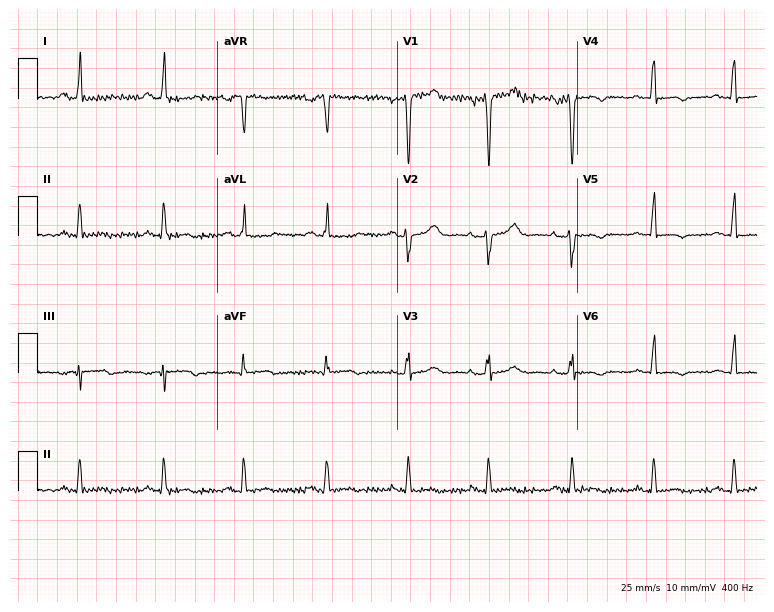
Electrocardiogram, a 25-year-old female. Of the six screened findings (first-degree AV block, right bundle branch block, left bundle branch block, sinus bradycardia, atrial fibrillation, sinus tachycardia), none is recorded. Findings outside these six are not listed.